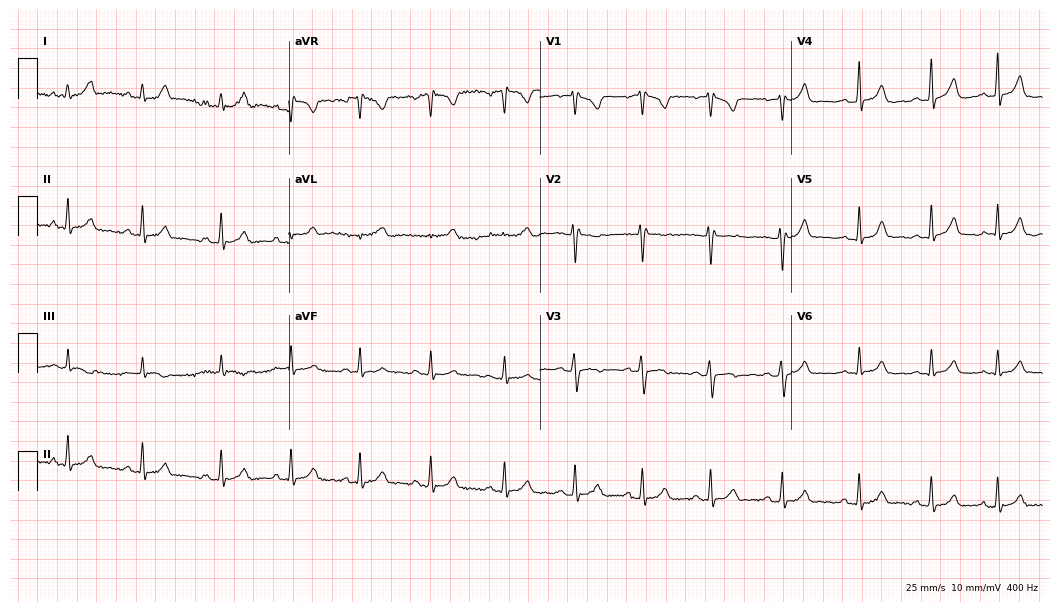
Standard 12-lead ECG recorded from a 21-year-old female patient. None of these six findings is recorded: first-degree AV block, right bundle branch block, left bundle branch block, sinus bradycardia, atrial fibrillation, sinus tachycardia.